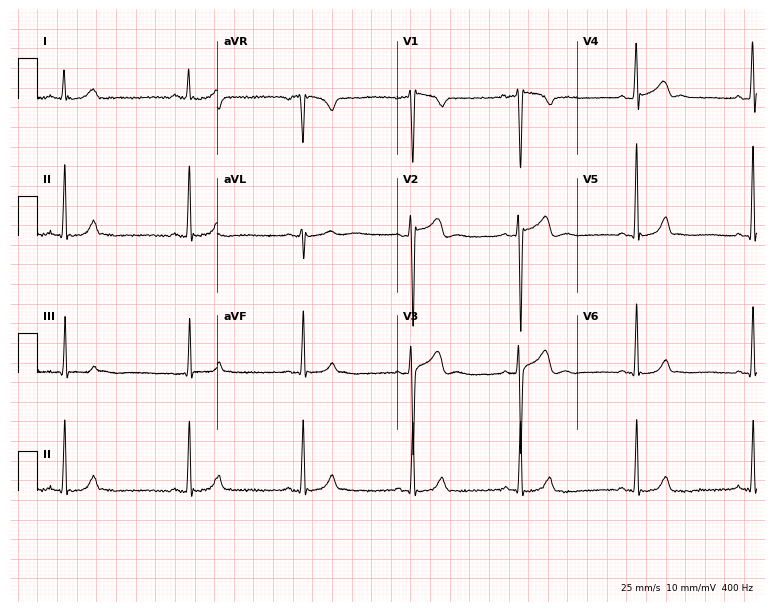
12-lead ECG from a man, 18 years old (7.3-second recording at 400 Hz). Recorded interpretation: within normal limits.